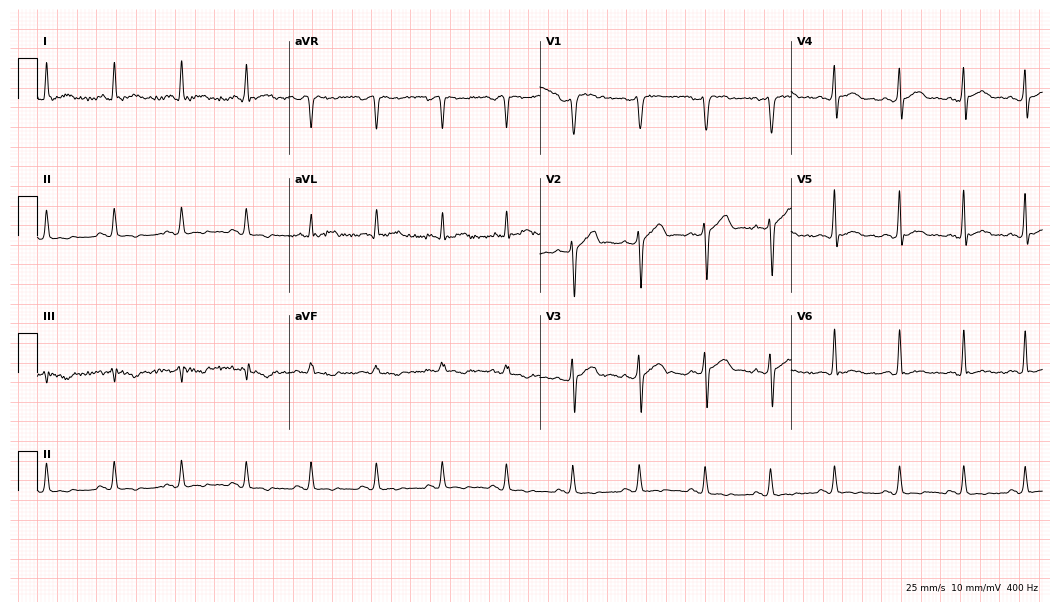
ECG (10.2-second recording at 400 Hz) — a male patient, 35 years old. Screened for six findings — first-degree AV block, right bundle branch block (RBBB), left bundle branch block (LBBB), sinus bradycardia, atrial fibrillation (AF), sinus tachycardia — none is recorded. Only these six findings were labelled.